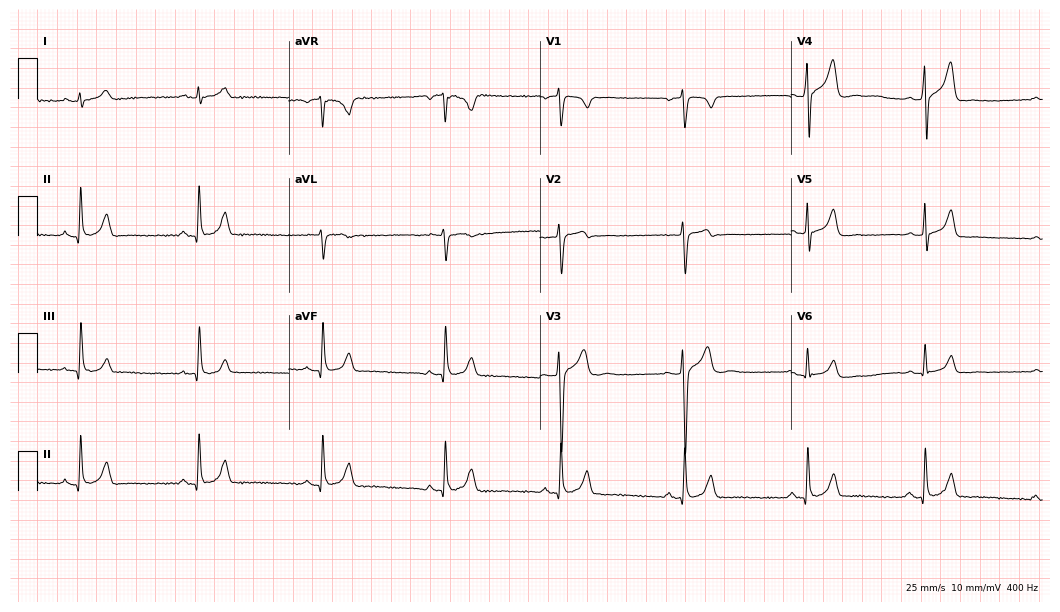
ECG (10.2-second recording at 400 Hz) — a male patient, 27 years old. Screened for six findings — first-degree AV block, right bundle branch block, left bundle branch block, sinus bradycardia, atrial fibrillation, sinus tachycardia — none is recorded. Findings outside these six are not listed.